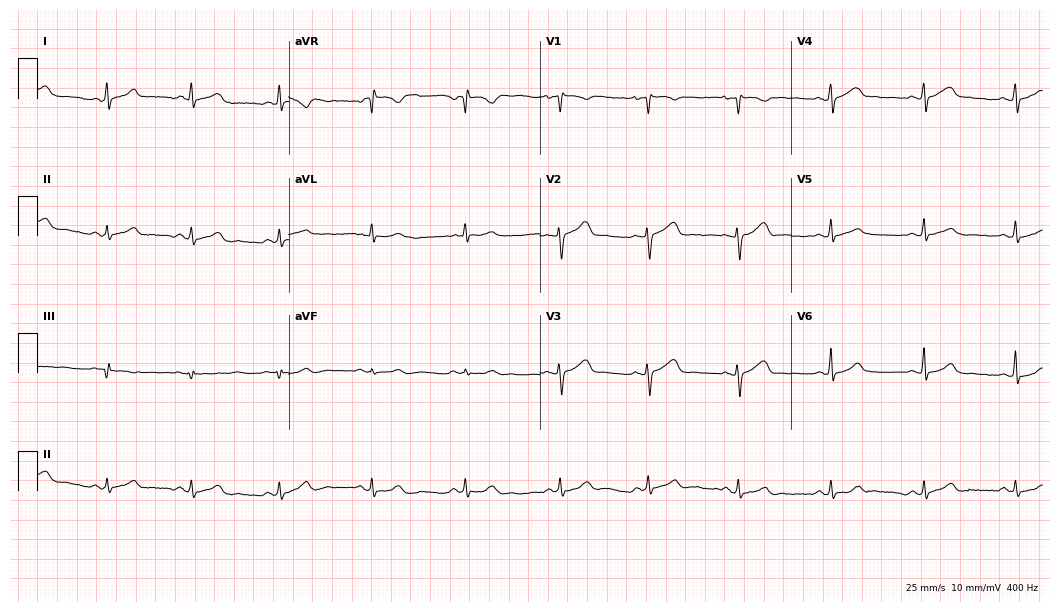
Resting 12-lead electrocardiogram (10.2-second recording at 400 Hz). Patient: a 23-year-old female. Read as a normal ECG.